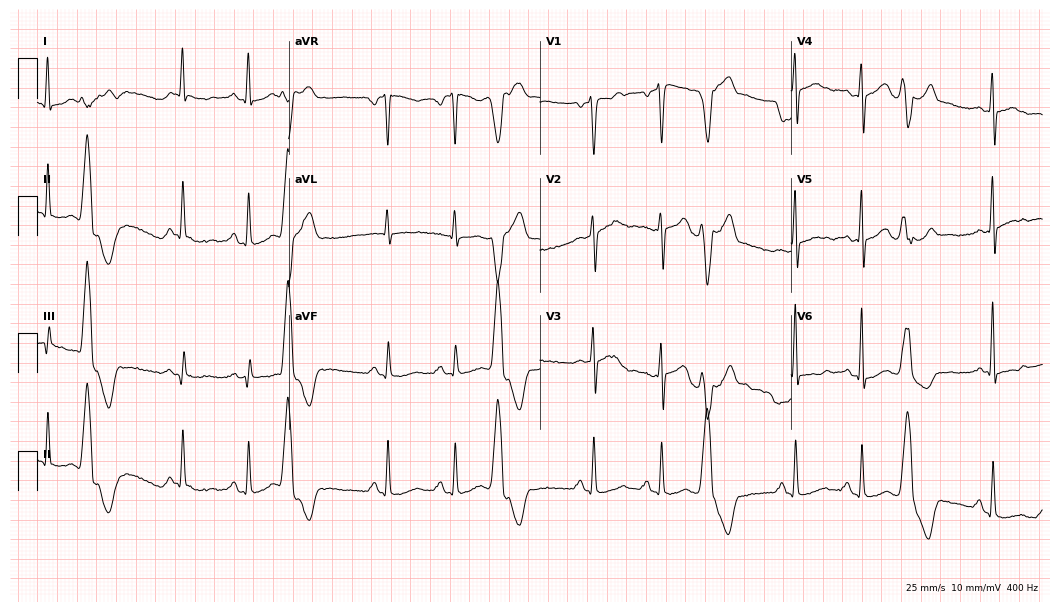
12-lead ECG from a female patient, 37 years old (10.2-second recording at 400 Hz). No first-degree AV block, right bundle branch block, left bundle branch block, sinus bradycardia, atrial fibrillation or sinus tachycardia recorded for this tracing. Other findings, if any, are not listed.